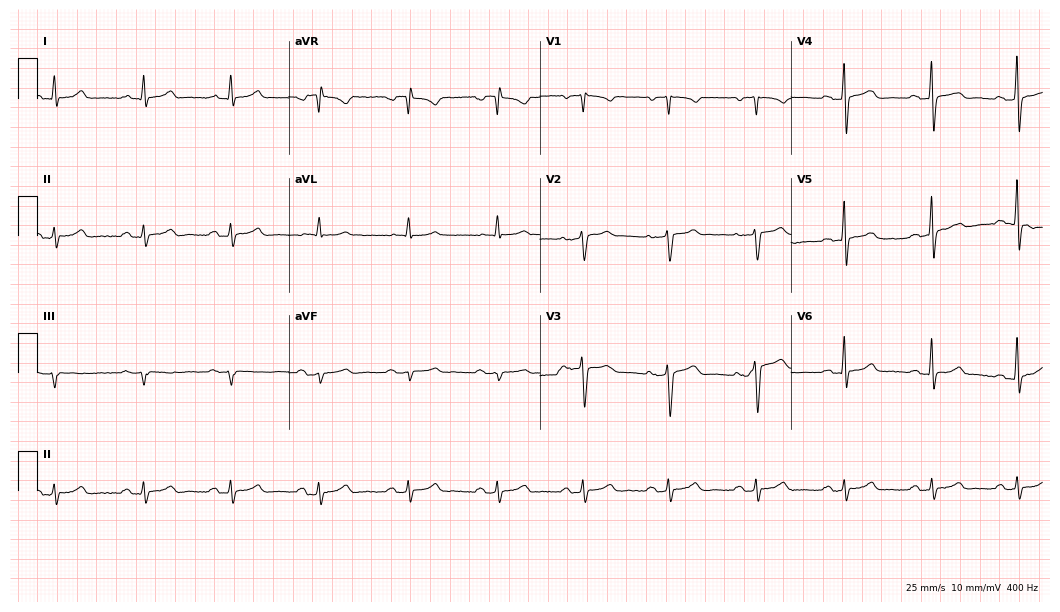
Resting 12-lead electrocardiogram (10.2-second recording at 400 Hz). Patient: a 69-year-old man. Read as a normal ECG.